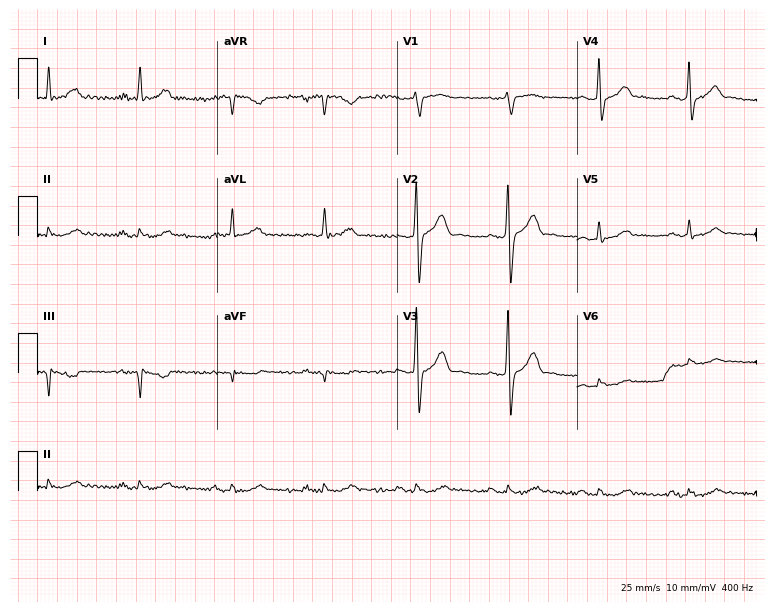
ECG — a male patient, 59 years old. Screened for six findings — first-degree AV block, right bundle branch block (RBBB), left bundle branch block (LBBB), sinus bradycardia, atrial fibrillation (AF), sinus tachycardia — none is recorded.